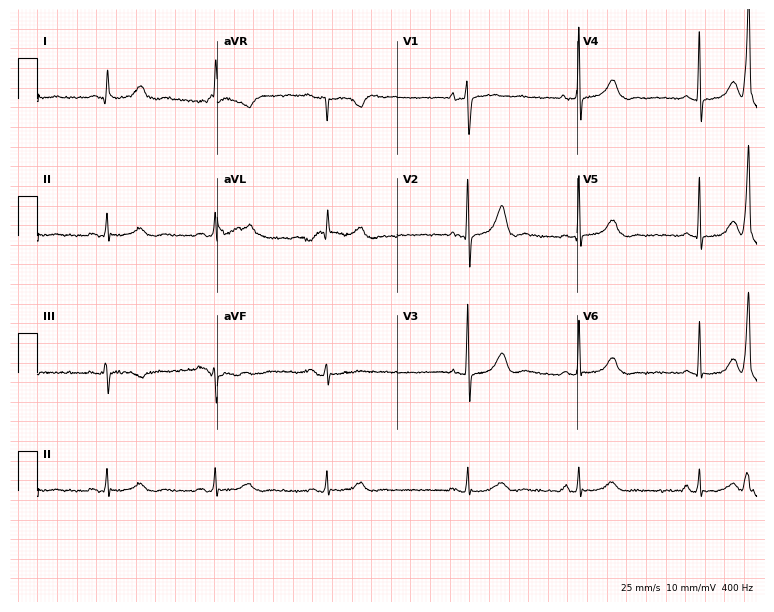
12-lead ECG from a 70-year-old female. Screened for six findings — first-degree AV block, right bundle branch block (RBBB), left bundle branch block (LBBB), sinus bradycardia, atrial fibrillation (AF), sinus tachycardia — none is recorded. Only these six findings were labelled.